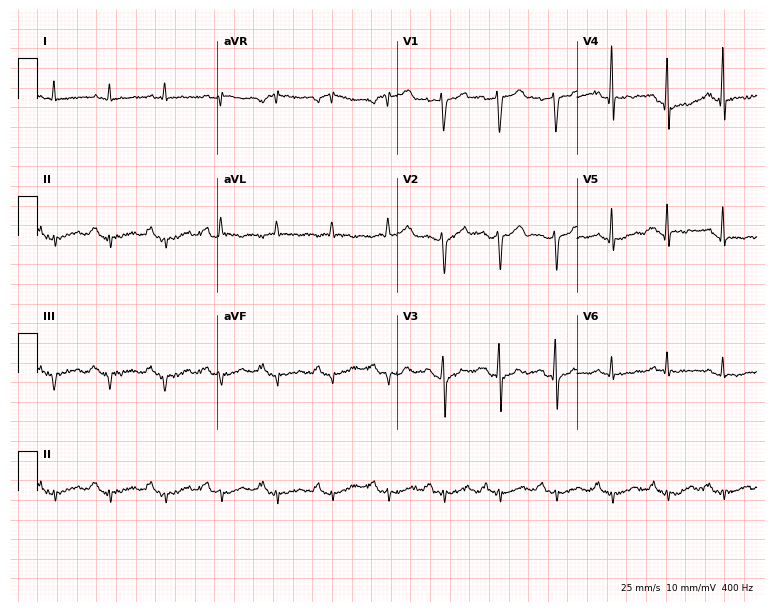
ECG (7.3-second recording at 400 Hz) — a male, 52 years old. Screened for six findings — first-degree AV block, right bundle branch block, left bundle branch block, sinus bradycardia, atrial fibrillation, sinus tachycardia — none is recorded. Findings outside these six are not listed.